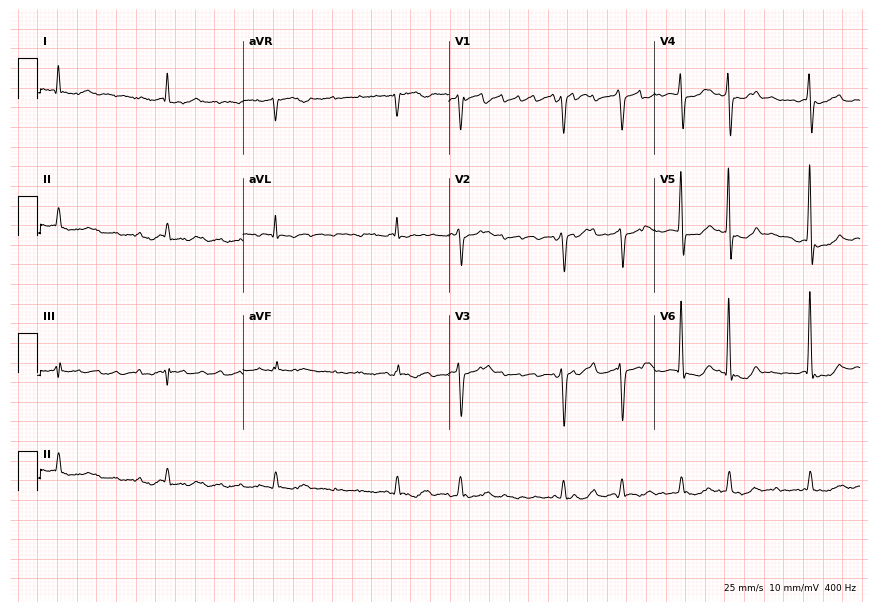
Standard 12-lead ECG recorded from a 68-year-old man (8.4-second recording at 400 Hz). None of these six findings is recorded: first-degree AV block, right bundle branch block, left bundle branch block, sinus bradycardia, atrial fibrillation, sinus tachycardia. Other findings, if any, are not listed.